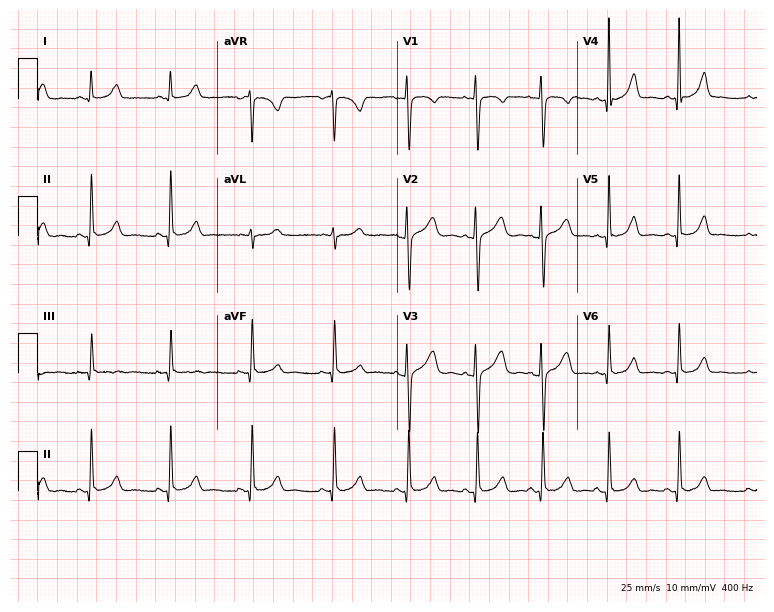
Resting 12-lead electrocardiogram. Patient: a woman, 22 years old. Read as a normal ECG.